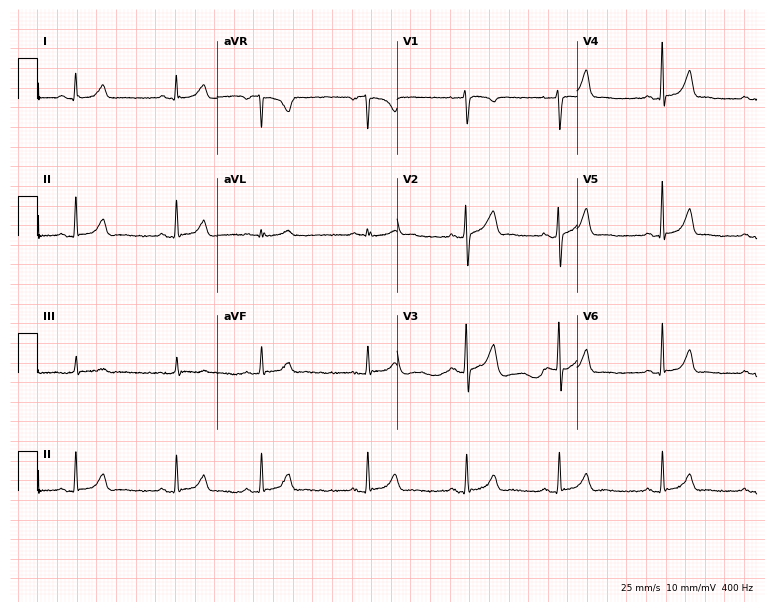
Resting 12-lead electrocardiogram (7.3-second recording at 400 Hz). Patient: a woman, 29 years old. Read as a normal ECG.